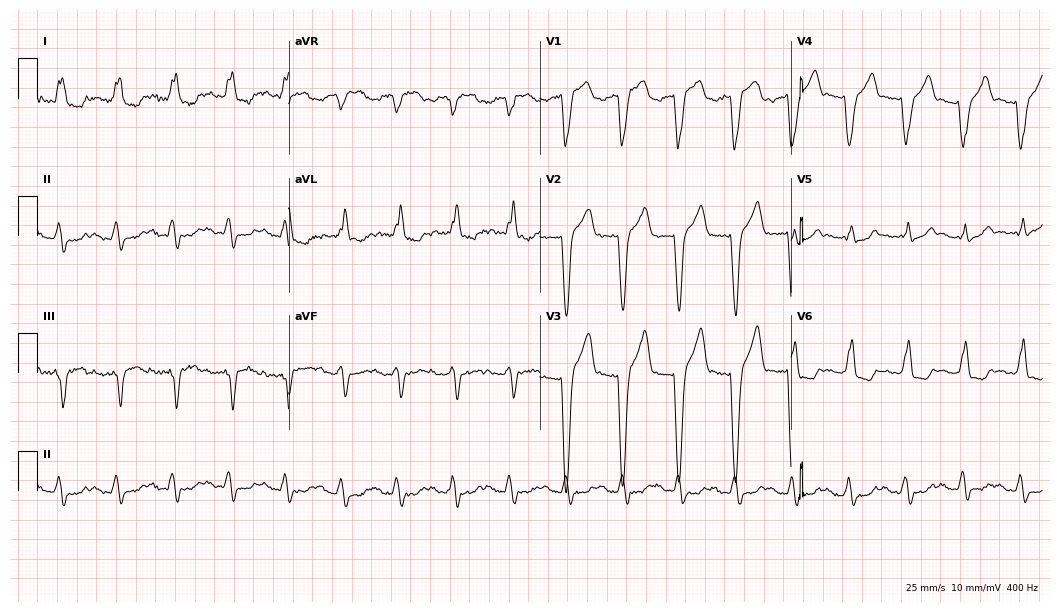
12-lead ECG from a 68-year-old man. Findings include left bundle branch block, sinus tachycardia (a sinus rate of 100 beats per minute or more).